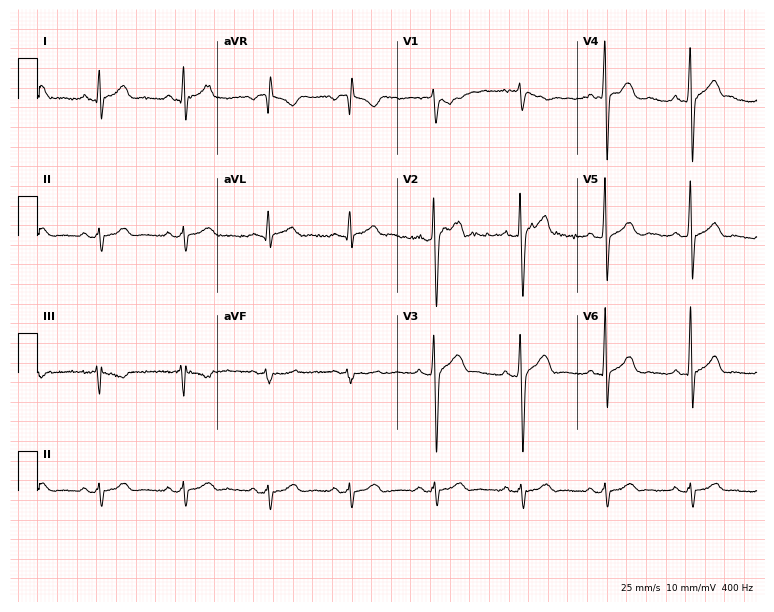
12-lead ECG from a 38-year-old male. Screened for six findings — first-degree AV block, right bundle branch block, left bundle branch block, sinus bradycardia, atrial fibrillation, sinus tachycardia — none is recorded.